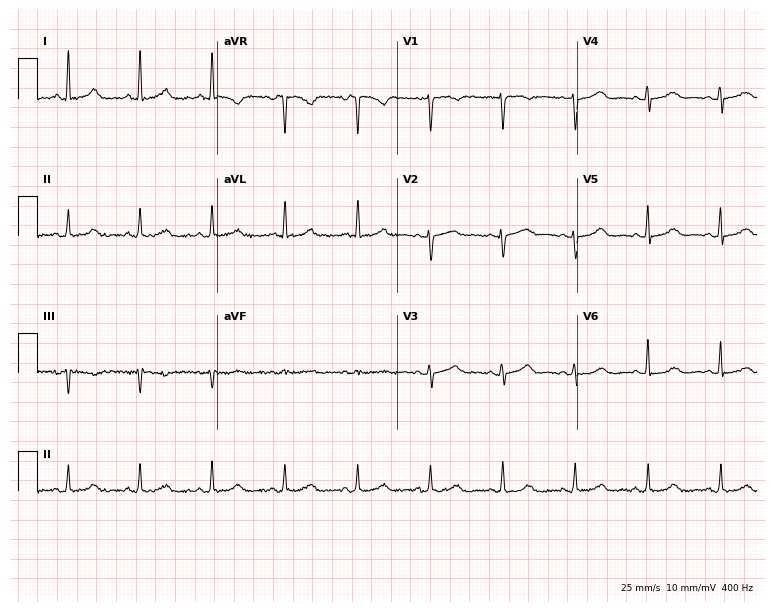
Electrocardiogram (7.3-second recording at 400 Hz), a 51-year-old female patient. Overall reading on record: normal ECG.